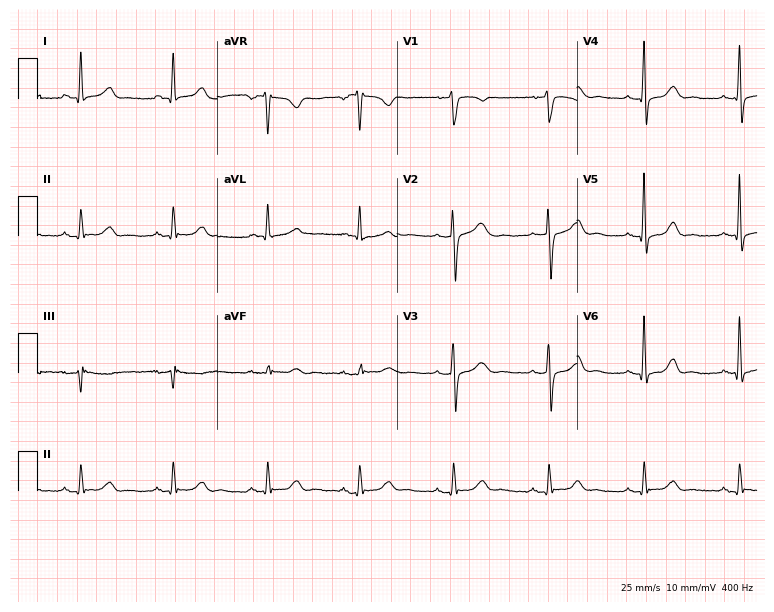
Standard 12-lead ECG recorded from a 66-year-old female (7.3-second recording at 400 Hz). Read as a normal ECG.